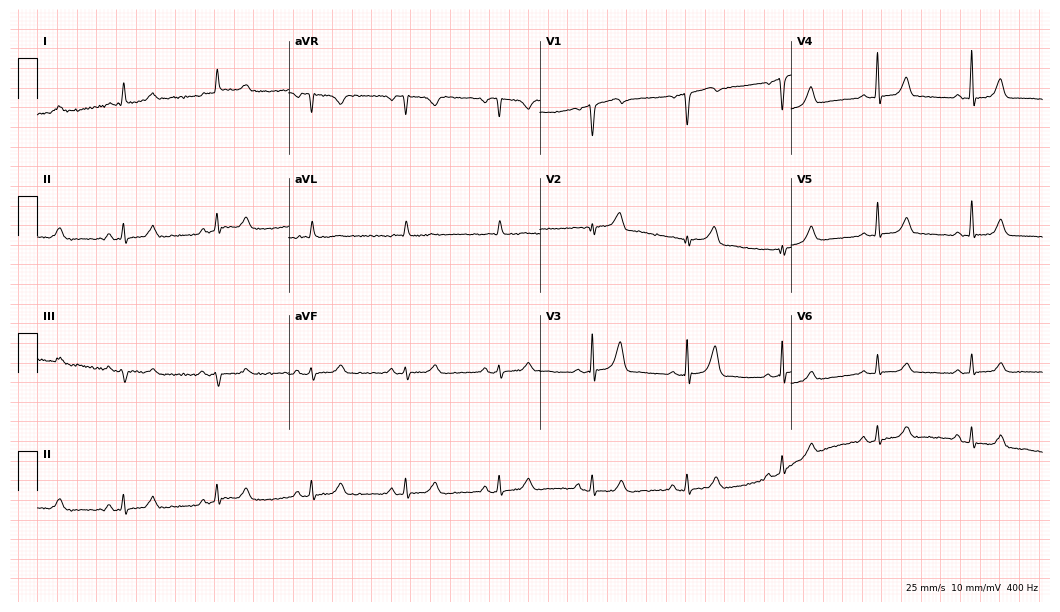
Electrocardiogram, a 71-year-old female. Overall reading on record: normal ECG.